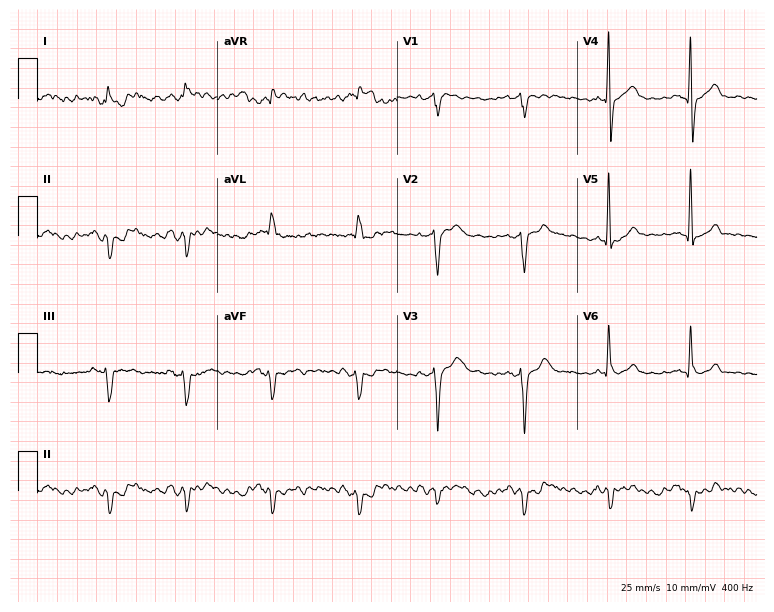
Standard 12-lead ECG recorded from a male patient, 78 years old (7.3-second recording at 400 Hz). None of these six findings is recorded: first-degree AV block, right bundle branch block, left bundle branch block, sinus bradycardia, atrial fibrillation, sinus tachycardia.